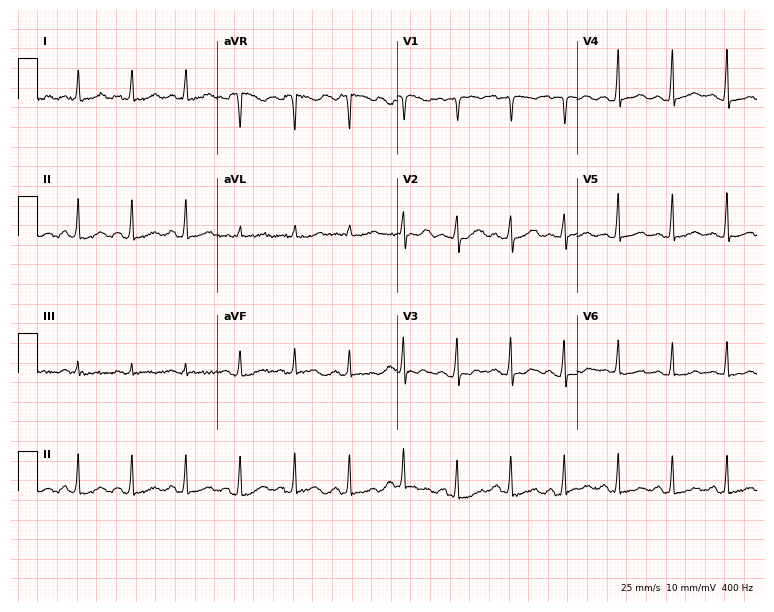
ECG — a 40-year-old woman. Findings include sinus tachycardia (a sinus rate of 100 beats per minute or more).